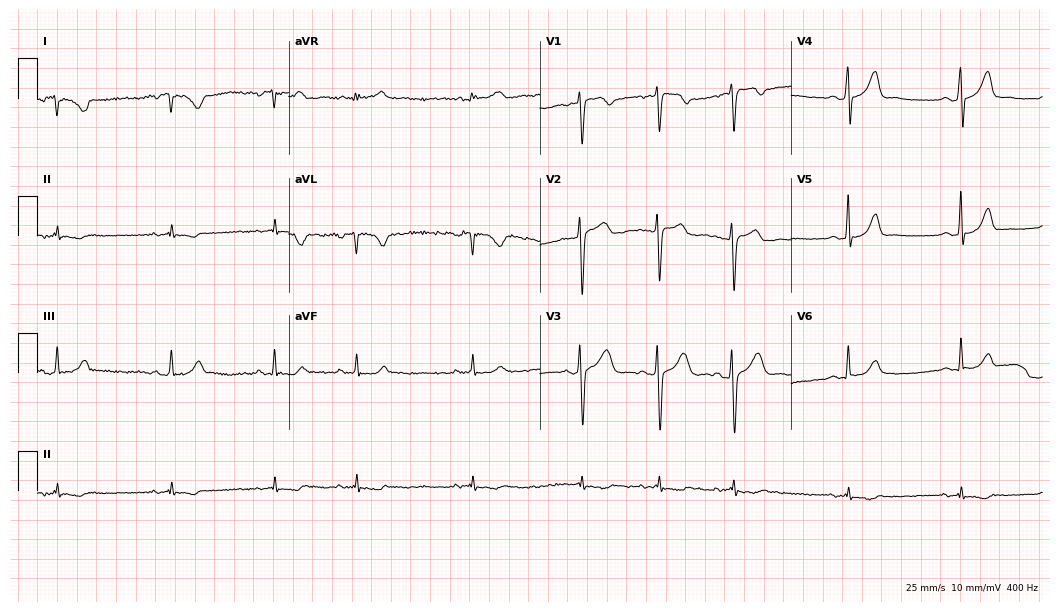
Standard 12-lead ECG recorded from a 26-year-old woman. None of these six findings is recorded: first-degree AV block, right bundle branch block (RBBB), left bundle branch block (LBBB), sinus bradycardia, atrial fibrillation (AF), sinus tachycardia. Only these six findings were labelled.